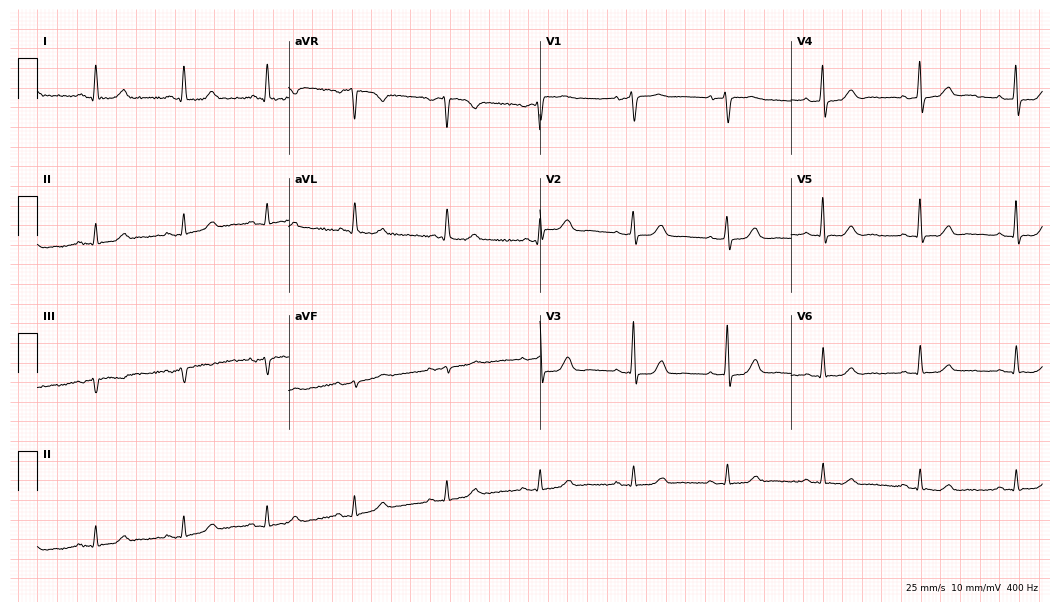
Resting 12-lead electrocardiogram. Patient: a female, 69 years old. Read as a normal ECG.